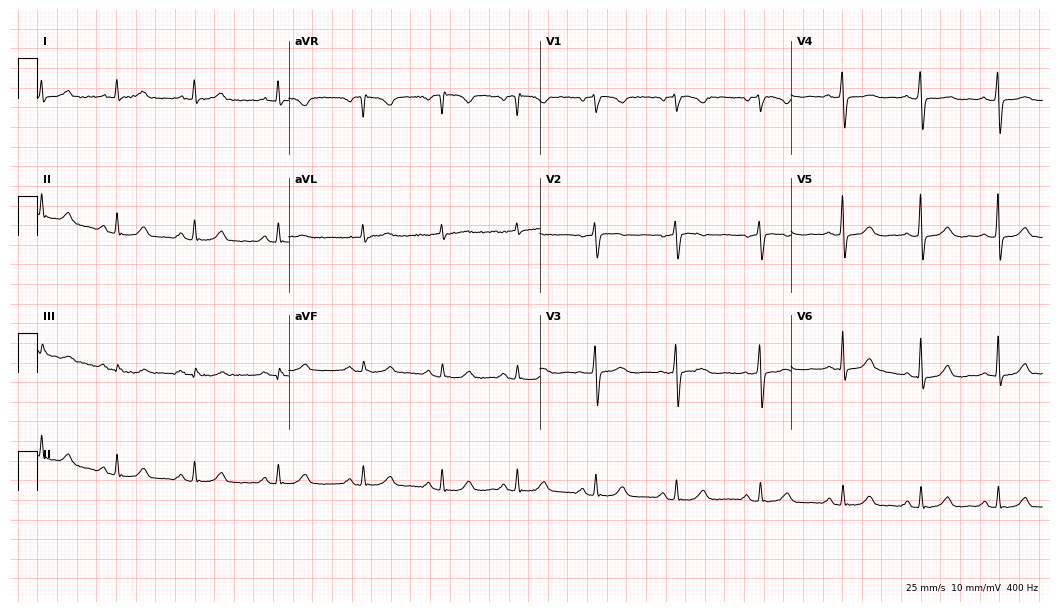
Resting 12-lead electrocardiogram (10.2-second recording at 400 Hz). Patient: a 39-year-old female. None of these six findings is recorded: first-degree AV block, right bundle branch block, left bundle branch block, sinus bradycardia, atrial fibrillation, sinus tachycardia.